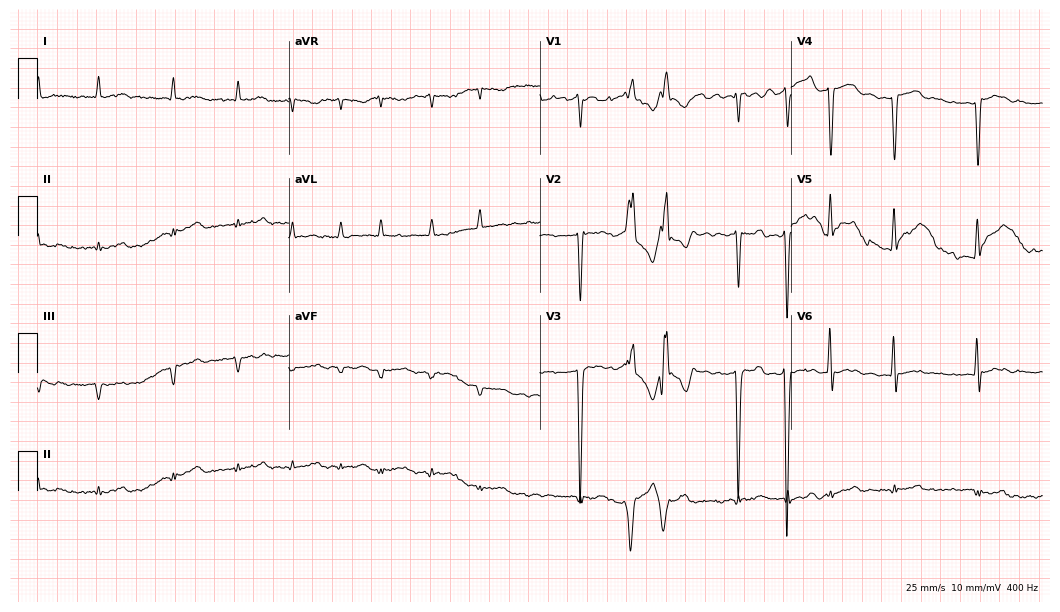
Standard 12-lead ECG recorded from a male patient, 79 years old (10.2-second recording at 400 Hz). The tracing shows atrial fibrillation.